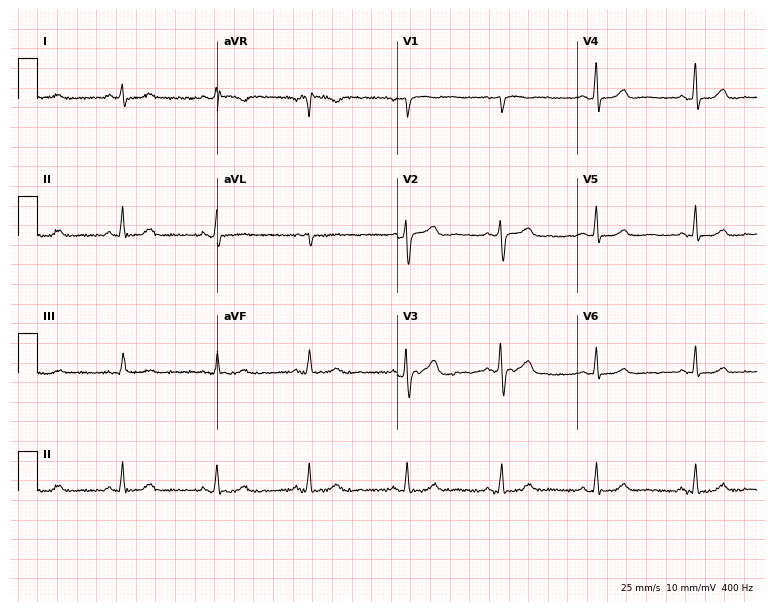
12-lead ECG from a female patient, 47 years old (7.3-second recording at 400 Hz). No first-degree AV block, right bundle branch block, left bundle branch block, sinus bradycardia, atrial fibrillation or sinus tachycardia recorded for this tracing. Other findings, if any, are not listed.